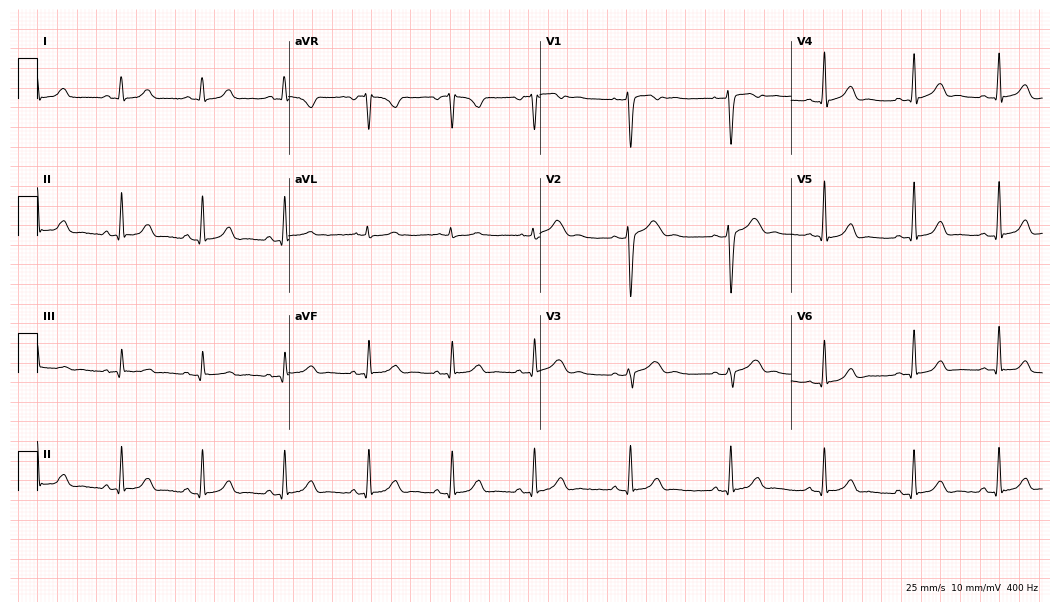
12-lead ECG (10.2-second recording at 400 Hz) from a 36-year-old woman. Labelled as a normal ECG.